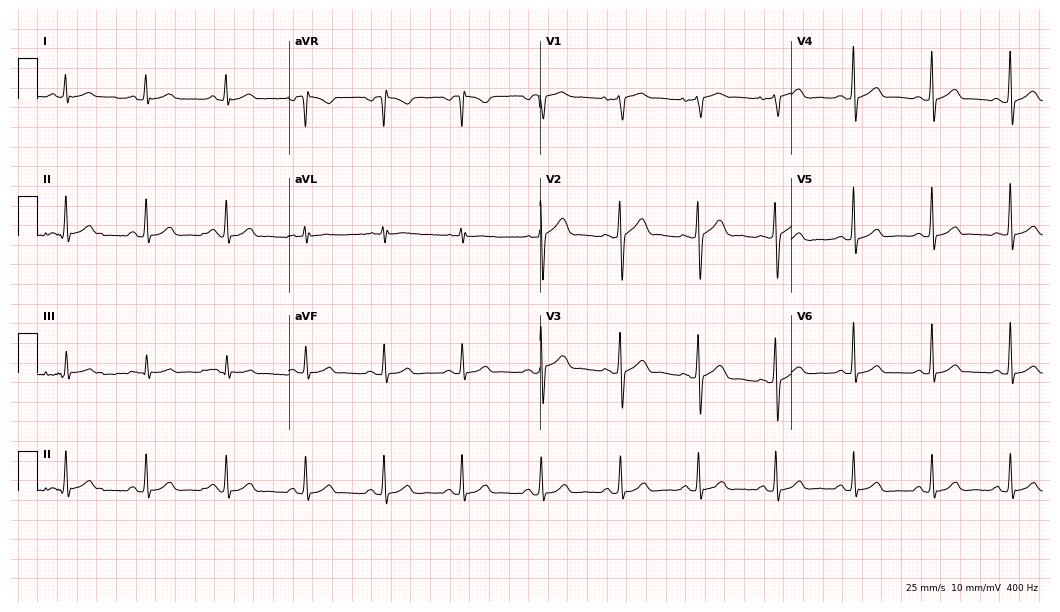
12-lead ECG from a 26-year-old male. Screened for six findings — first-degree AV block, right bundle branch block, left bundle branch block, sinus bradycardia, atrial fibrillation, sinus tachycardia — none is recorded.